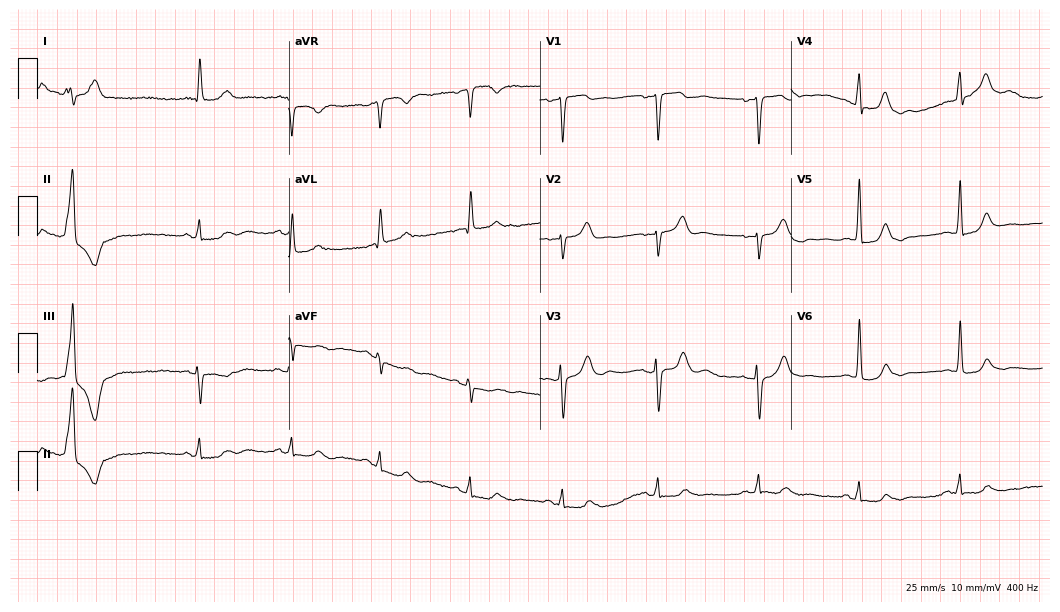
ECG — a male patient, 71 years old. Labelled as a normal ECG.